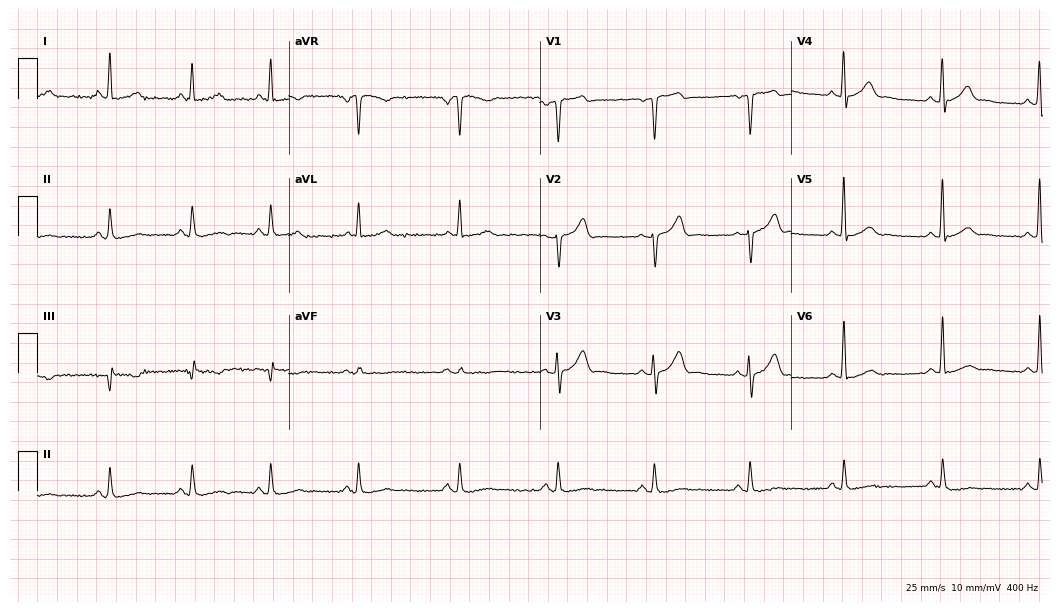
Resting 12-lead electrocardiogram (10.2-second recording at 400 Hz). Patient: a 40-year-old male. Read as a normal ECG.